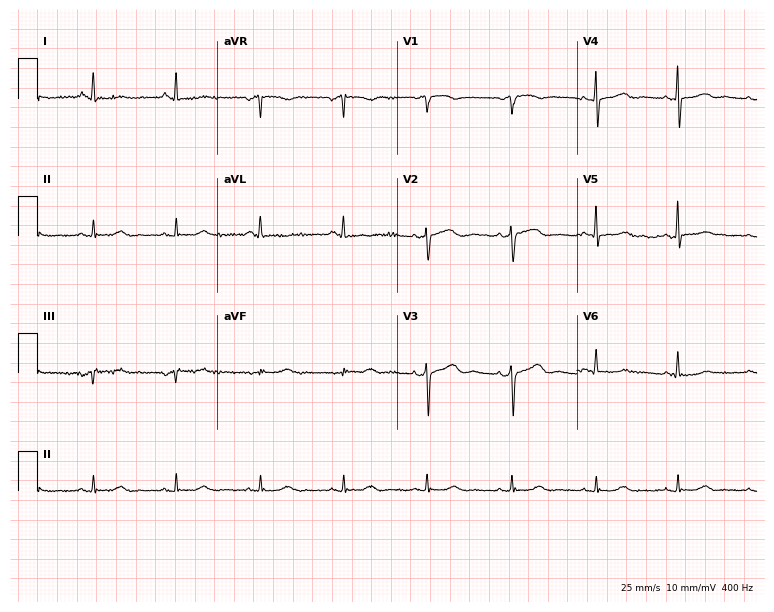
Standard 12-lead ECG recorded from a female, 84 years old. Read as a normal ECG.